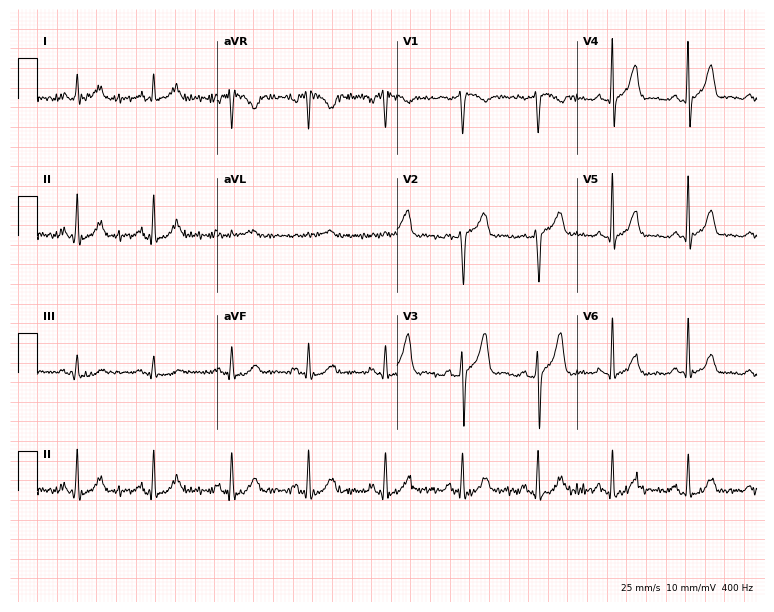
12-lead ECG from a 56-year-old male (7.3-second recording at 400 Hz). Recorded interpretation: within normal limits.